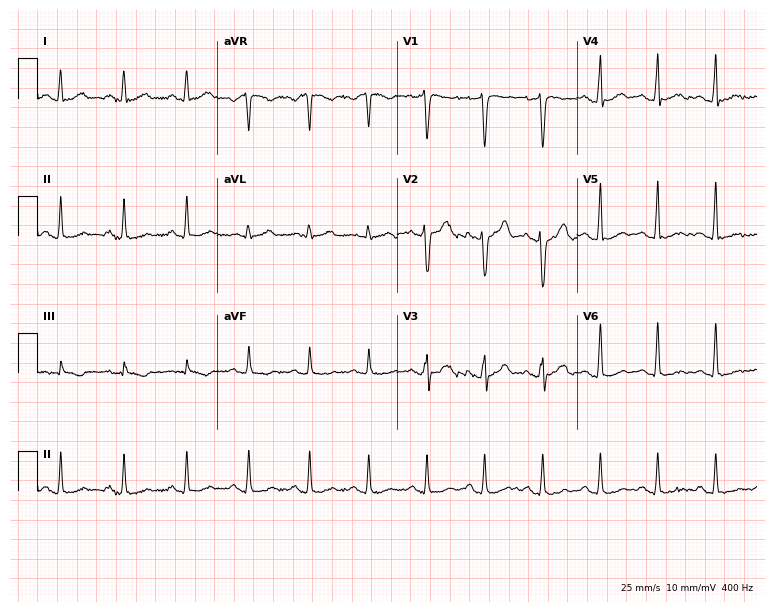
Electrocardiogram, a male, 34 years old. Overall reading on record: normal ECG.